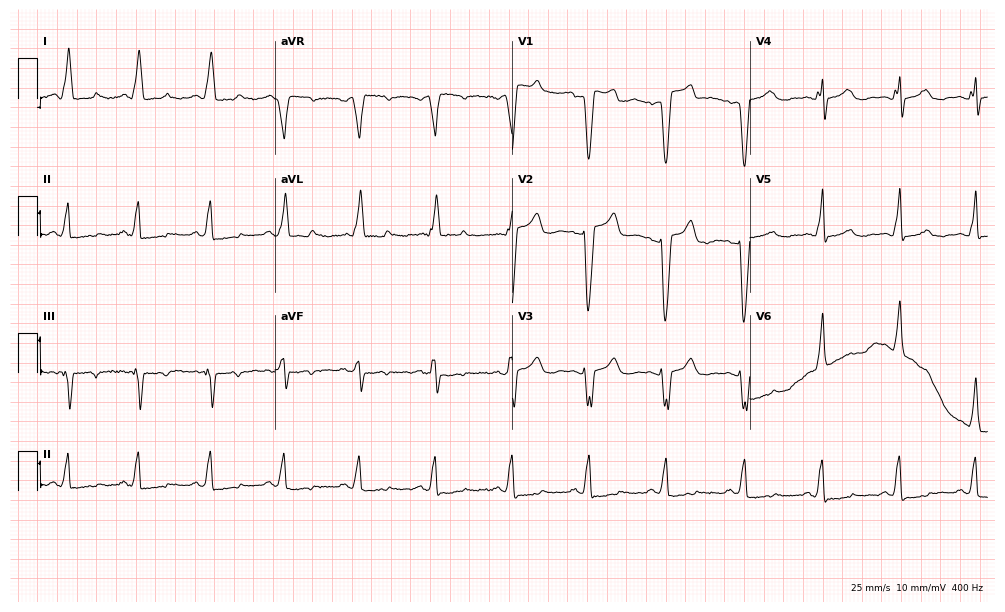
Resting 12-lead electrocardiogram. Patient: a female, 67 years old. The tracing shows left bundle branch block.